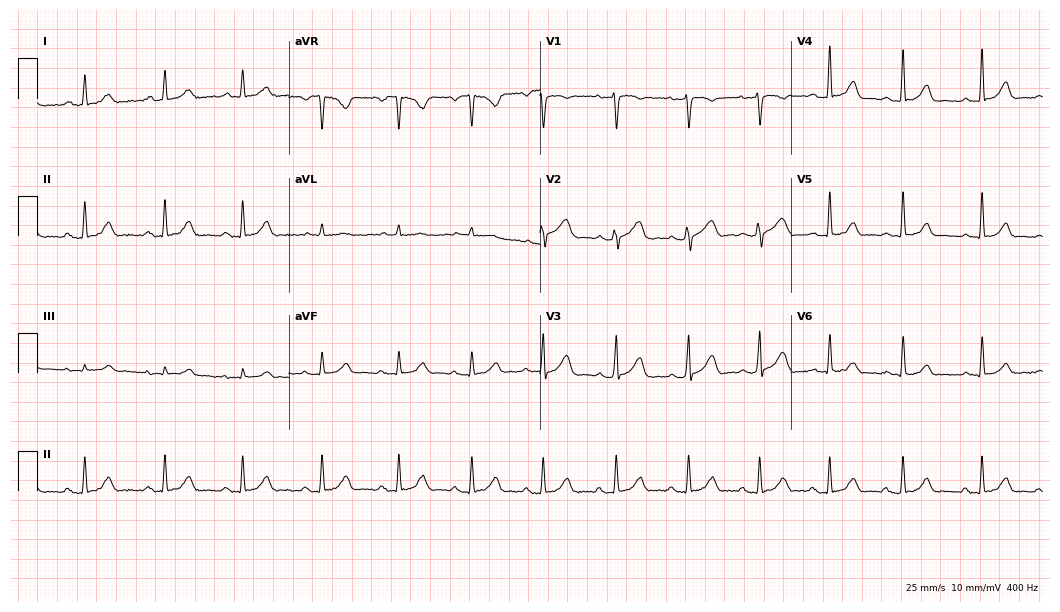
Resting 12-lead electrocardiogram (10.2-second recording at 400 Hz). Patient: a 29-year-old female. None of these six findings is recorded: first-degree AV block, right bundle branch block, left bundle branch block, sinus bradycardia, atrial fibrillation, sinus tachycardia. Other findings, if any, are not listed.